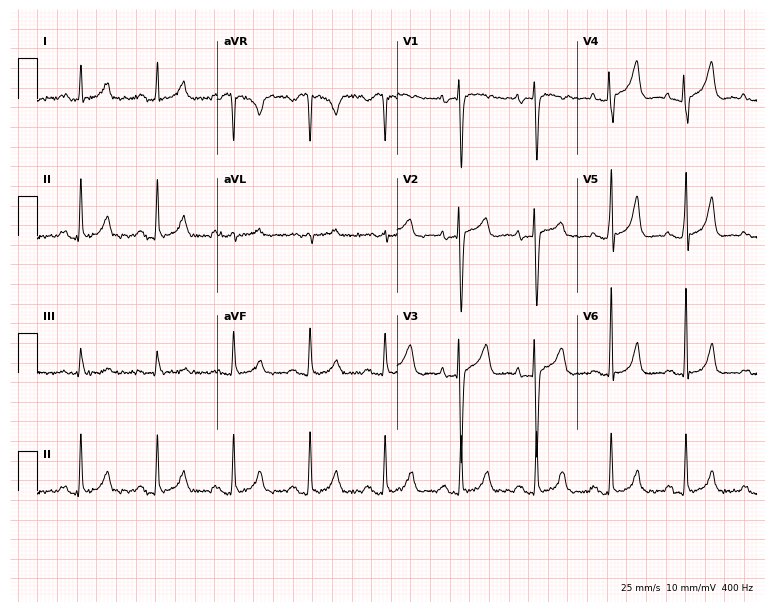
Standard 12-lead ECG recorded from a female, 51 years old (7.3-second recording at 400 Hz). None of these six findings is recorded: first-degree AV block, right bundle branch block, left bundle branch block, sinus bradycardia, atrial fibrillation, sinus tachycardia. Findings outside these six are not listed.